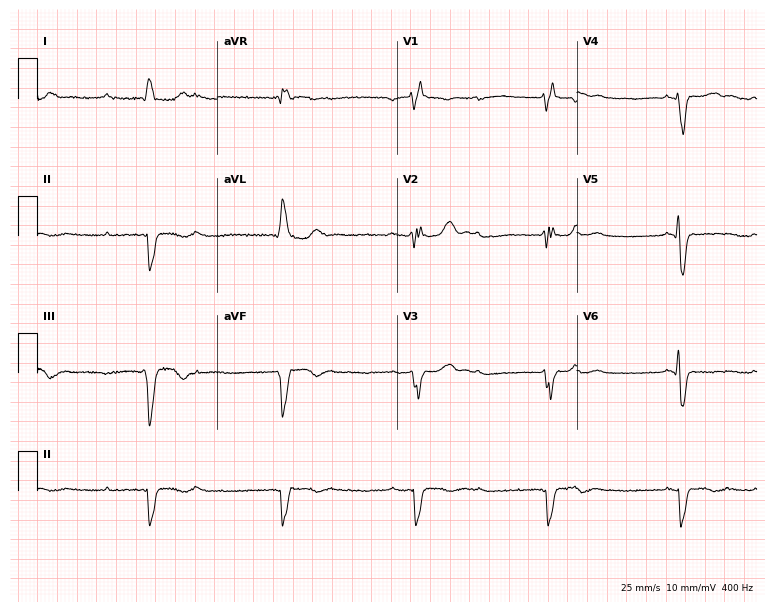
Electrocardiogram (7.3-second recording at 400 Hz), a man, 68 years old. Interpretation includes right bundle branch block (RBBB).